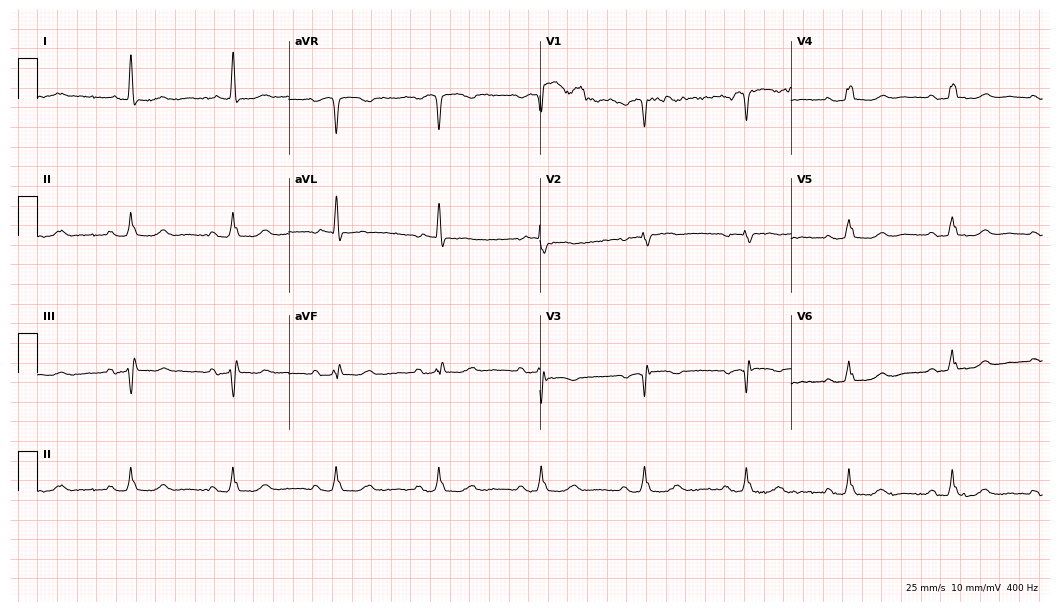
12-lead ECG from an 85-year-old female (10.2-second recording at 400 Hz). No first-degree AV block, right bundle branch block, left bundle branch block, sinus bradycardia, atrial fibrillation or sinus tachycardia recorded for this tracing.